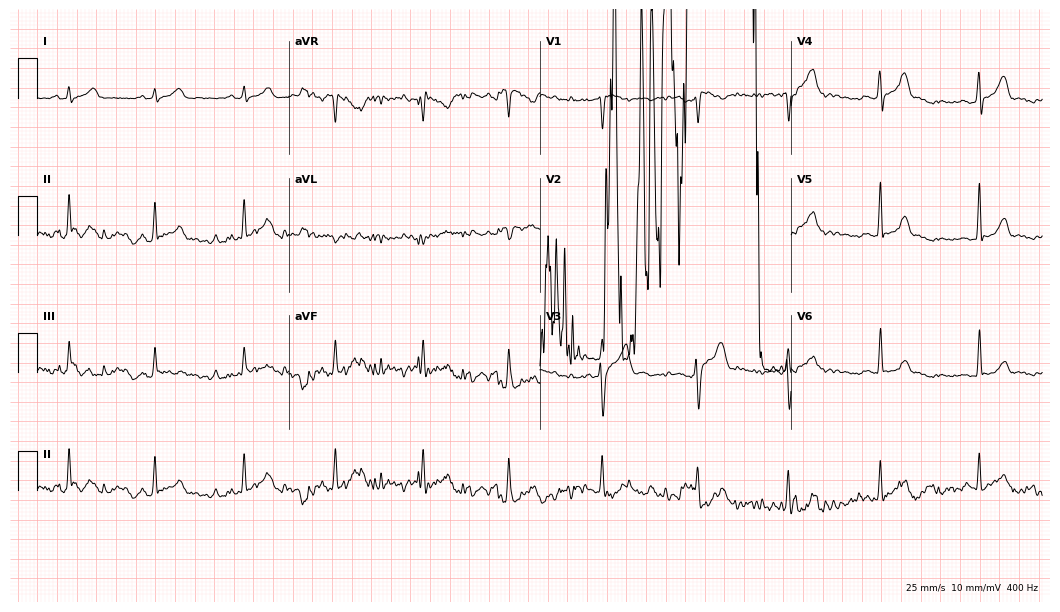
12-lead ECG from a male patient, 28 years old. Screened for six findings — first-degree AV block, right bundle branch block (RBBB), left bundle branch block (LBBB), sinus bradycardia, atrial fibrillation (AF), sinus tachycardia — none is recorded.